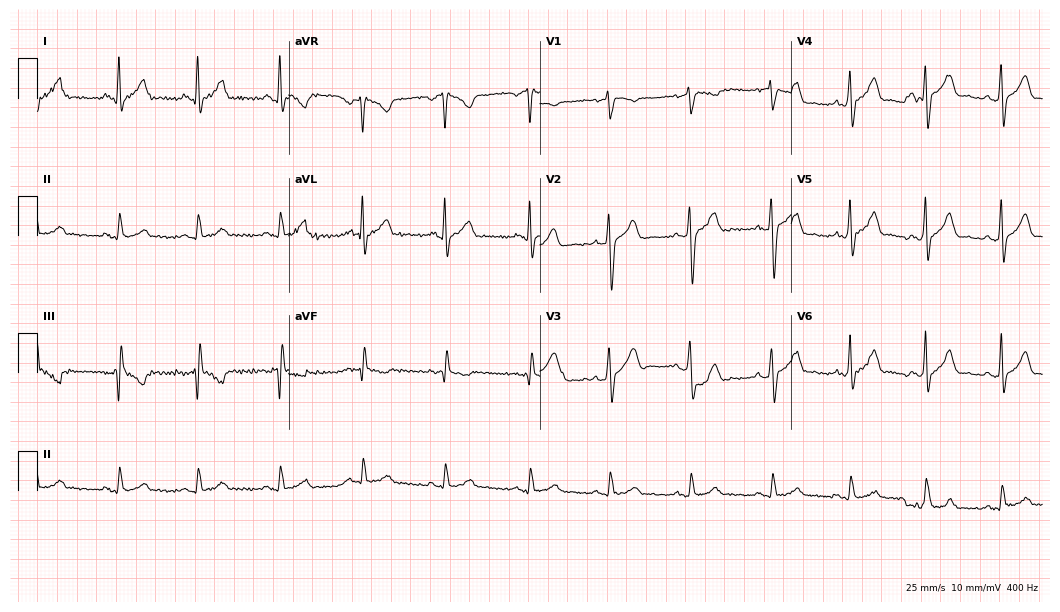
Electrocardiogram, a 31-year-old male patient. Overall reading on record: normal ECG.